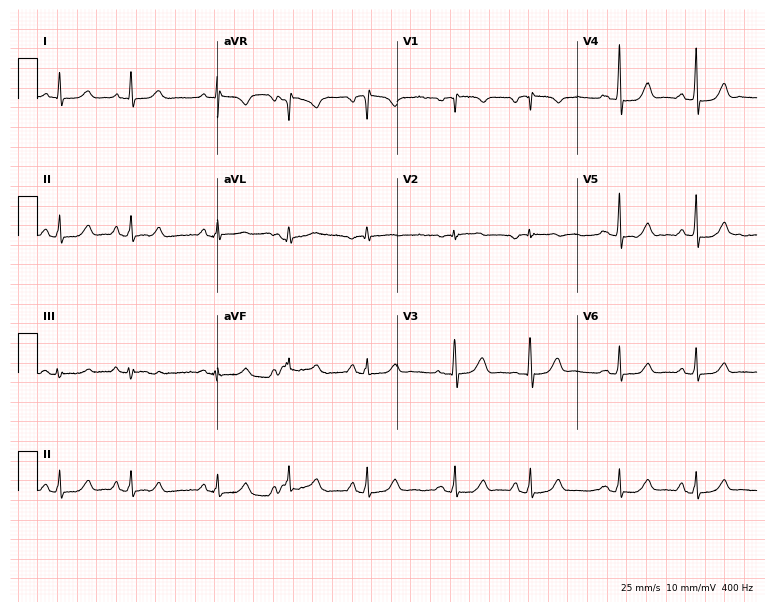
Resting 12-lead electrocardiogram. Patient: a 62-year-old female. Read as a normal ECG.